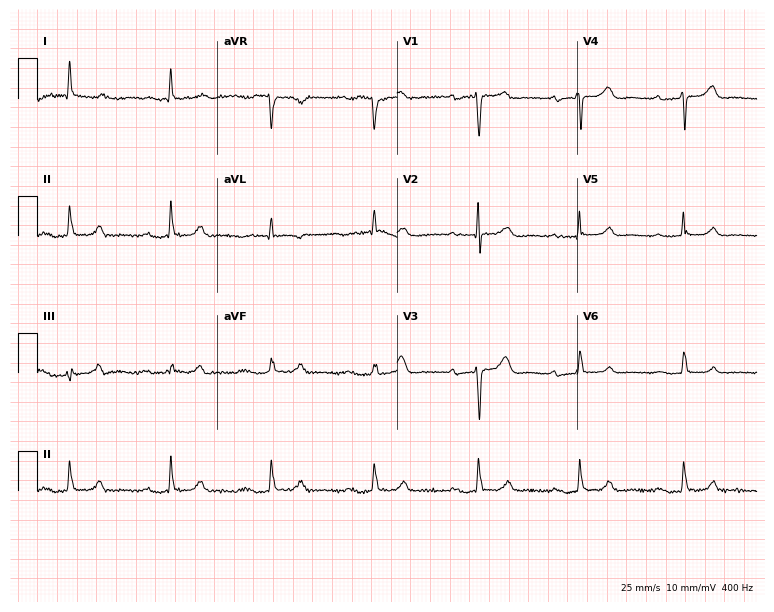
Resting 12-lead electrocardiogram (7.3-second recording at 400 Hz). Patient: an 82-year-old woman. The tracing shows first-degree AV block, atrial fibrillation.